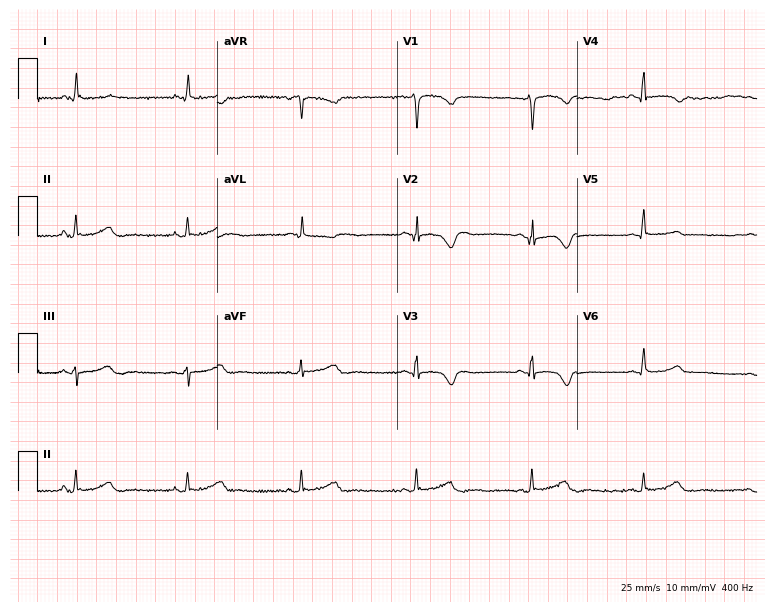
Resting 12-lead electrocardiogram (7.3-second recording at 400 Hz). Patient: a woman, 50 years old. None of these six findings is recorded: first-degree AV block, right bundle branch block (RBBB), left bundle branch block (LBBB), sinus bradycardia, atrial fibrillation (AF), sinus tachycardia. Other findings, if any, are not listed.